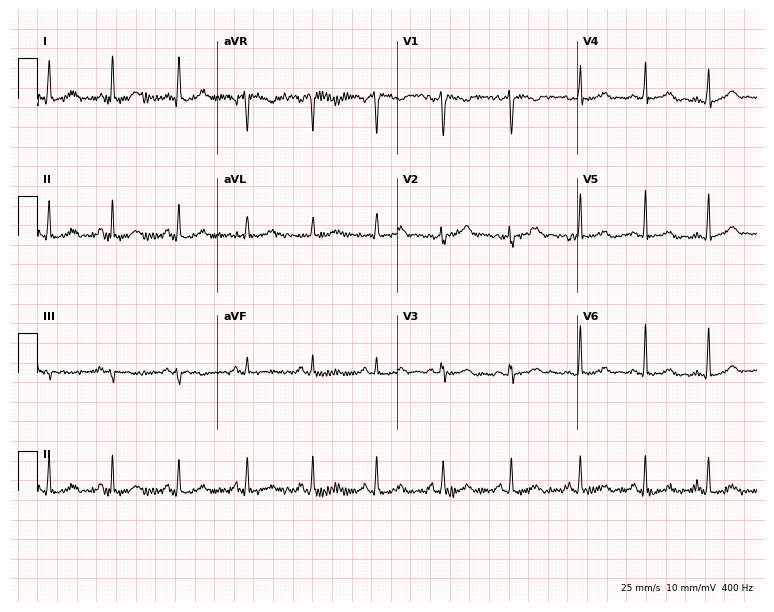
12-lead ECG from a female, 29 years old. Screened for six findings — first-degree AV block, right bundle branch block, left bundle branch block, sinus bradycardia, atrial fibrillation, sinus tachycardia — none is recorded. Findings outside these six are not listed.